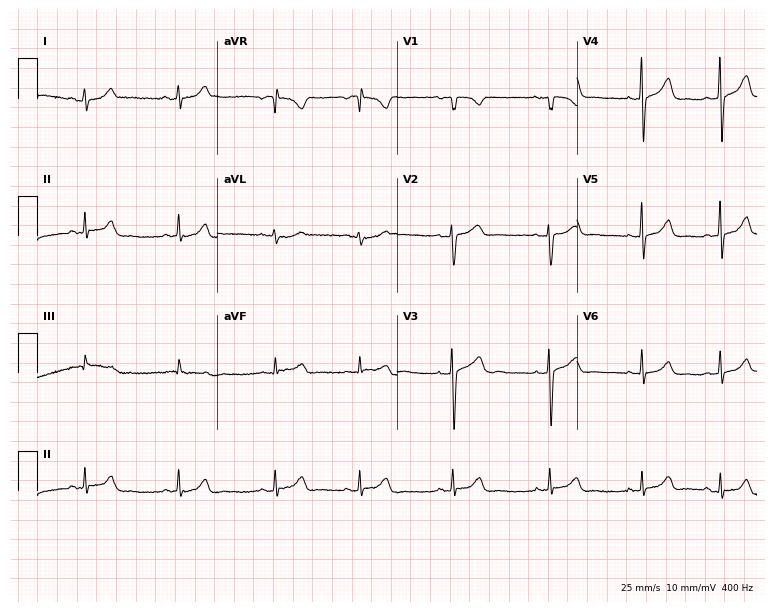
12-lead ECG from a female, 25 years old (7.3-second recording at 400 Hz). Recorded interpretation: within normal limits.